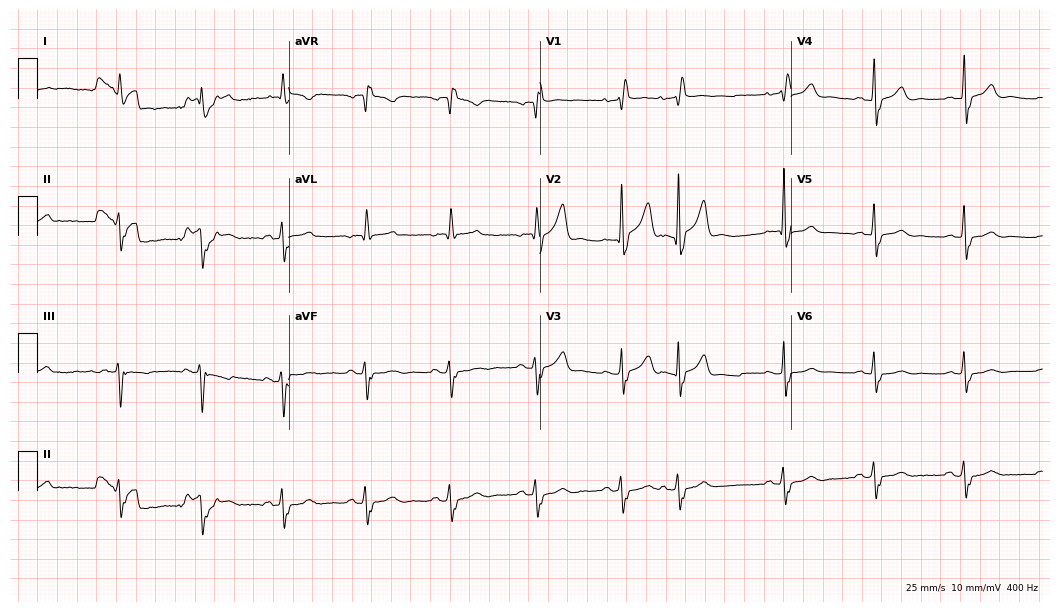
Resting 12-lead electrocardiogram (10.2-second recording at 400 Hz). Patient: a male, 83 years old. The tracing shows right bundle branch block.